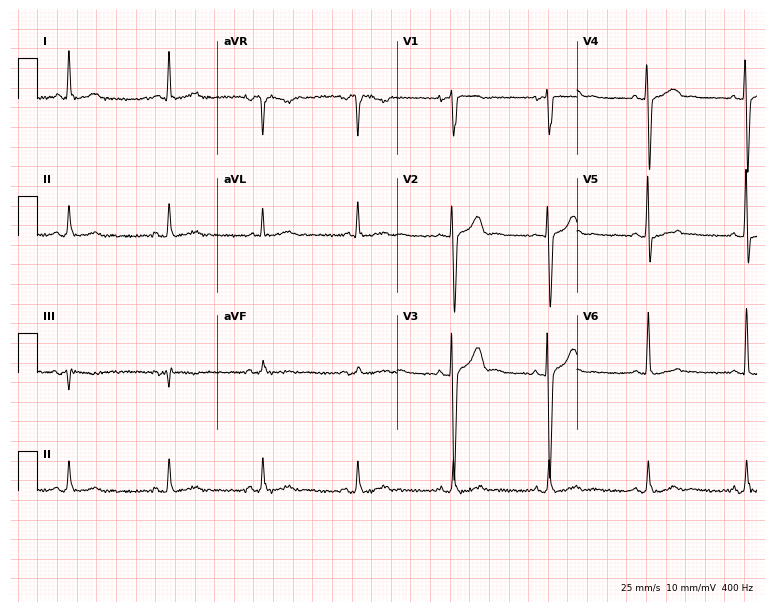
12-lead ECG from a 36-year-old male. No first-degree AV block, right bundle branch block, left bundle branch block, sinus bradycardia, atrial fibrillation or sinus tachycardia recorded for this tracing. Other findings, if any, are not listed.